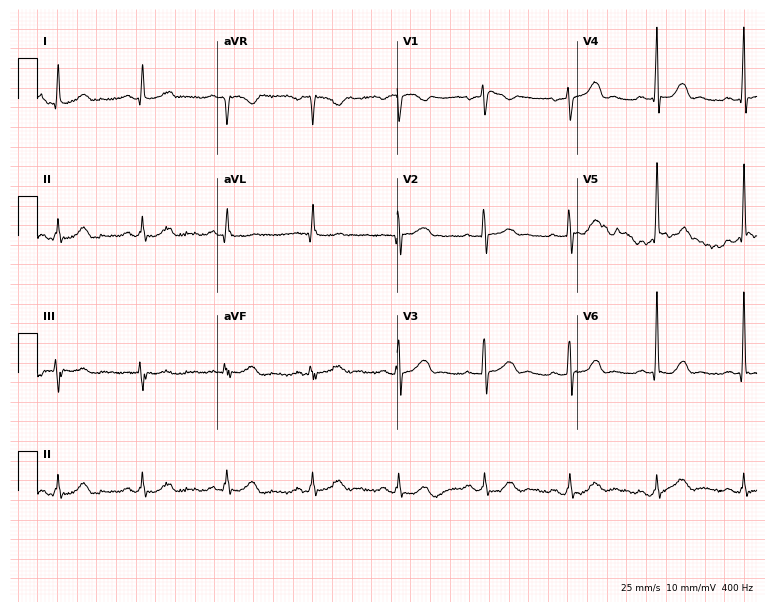
Standard 12-lead ECG recorded from a 56-year-old female patient (7.3-second recording at 400 Hz). Read as a normal ECG.